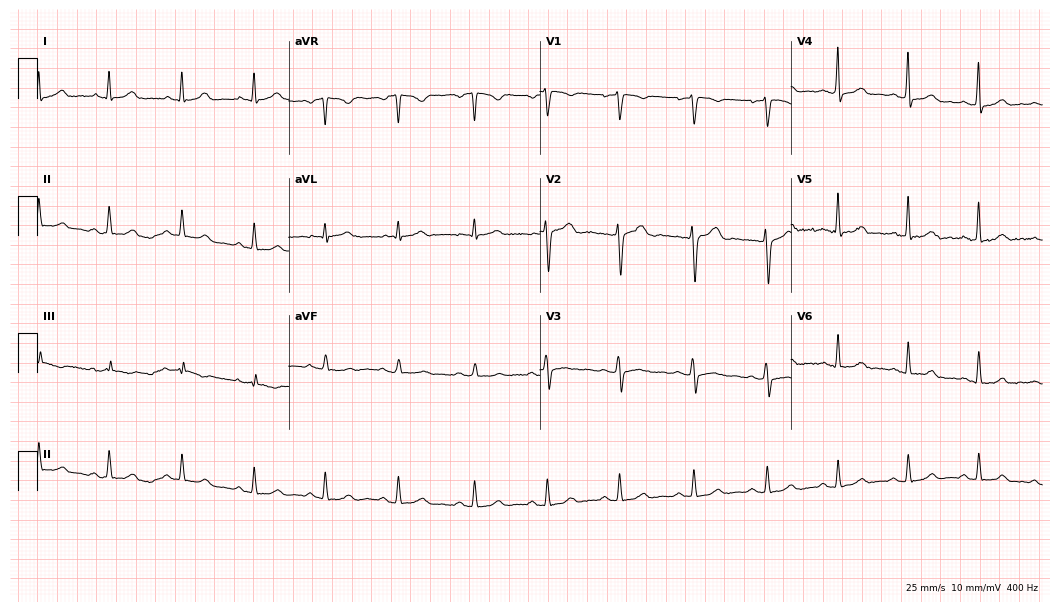
Standard 12-lead ECG recorded from a 33-year-old woman. Read as a normal ECG.